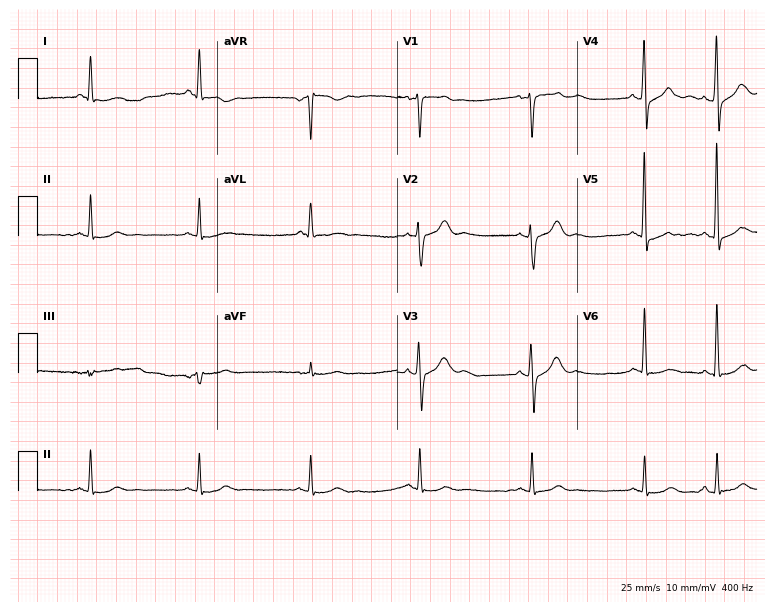
Electrocardiogram, a man, 67 years old. Of the six screened findings (first-degree AV block, right bundle branch block, left bundle branch block, sinus bradycardia, atrial fibrillation, sinus tachycardia), none is recorded. Only these six findings were labelled.